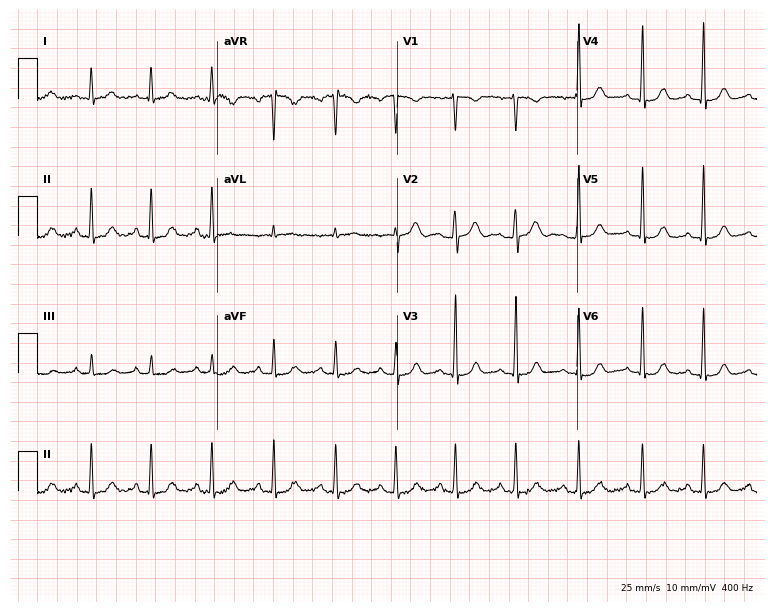
12-lead ECG from a 29-year-old woman. Labelled as a normal ECG.